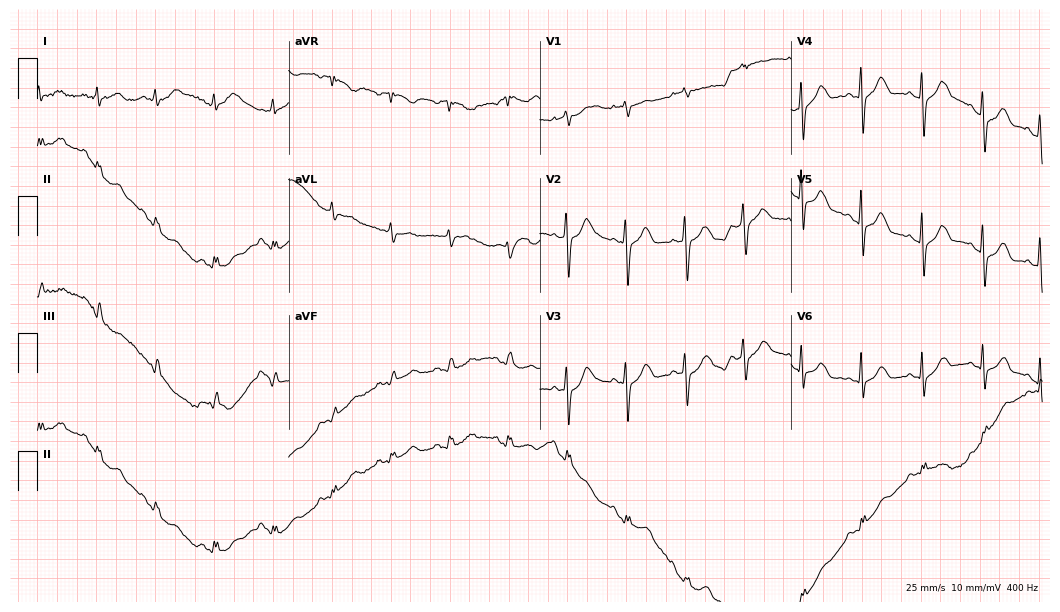
Electrocardiogram, a female patient, 83 years old. Overall reading on record: normal ECG.